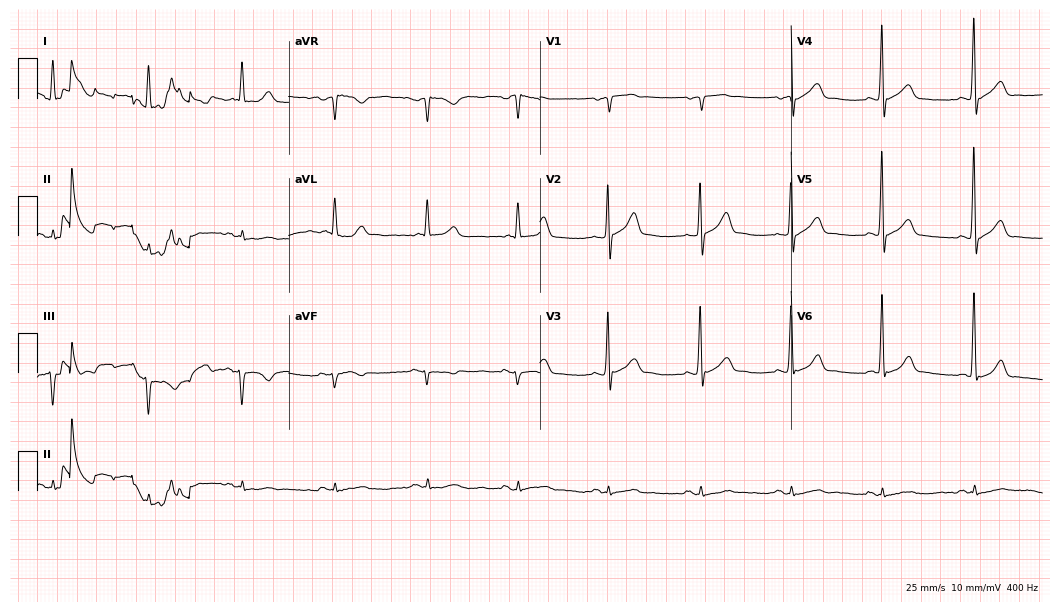
Standard 12-lead ECG recorded from a 74-year-old male patient. None of these six findings is recorded: first-degree AV block, right bundle branch block, left bundle branch block, sinus bradycardia, atrial fibrillation, sinus tachycardia.